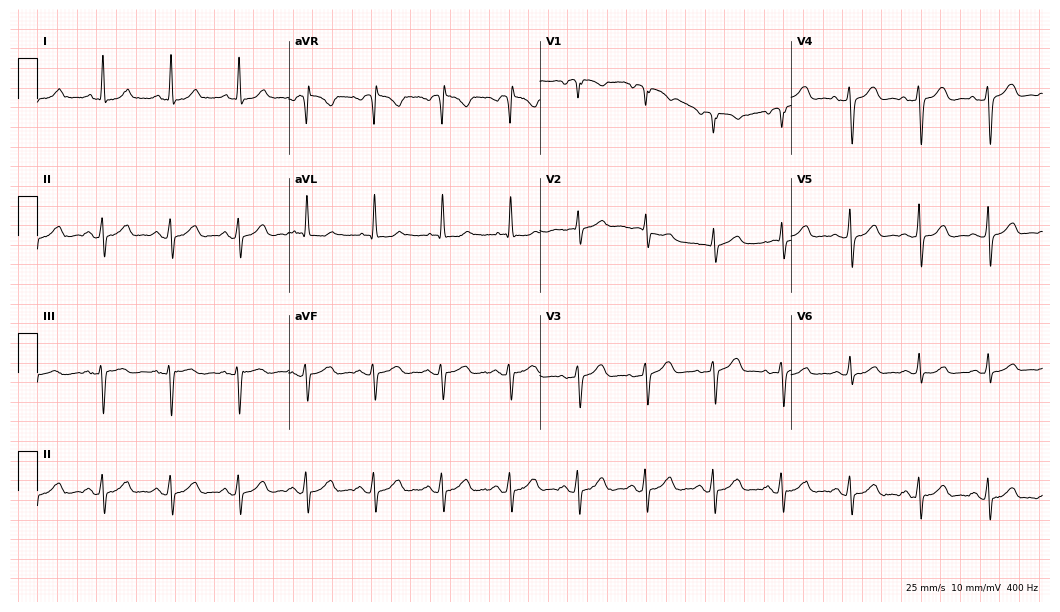
Resting 12-lead electrocardiogram (10.2-second recording at 400 Hz). Patient: a female, 69 years old. Read as a normal ECG.